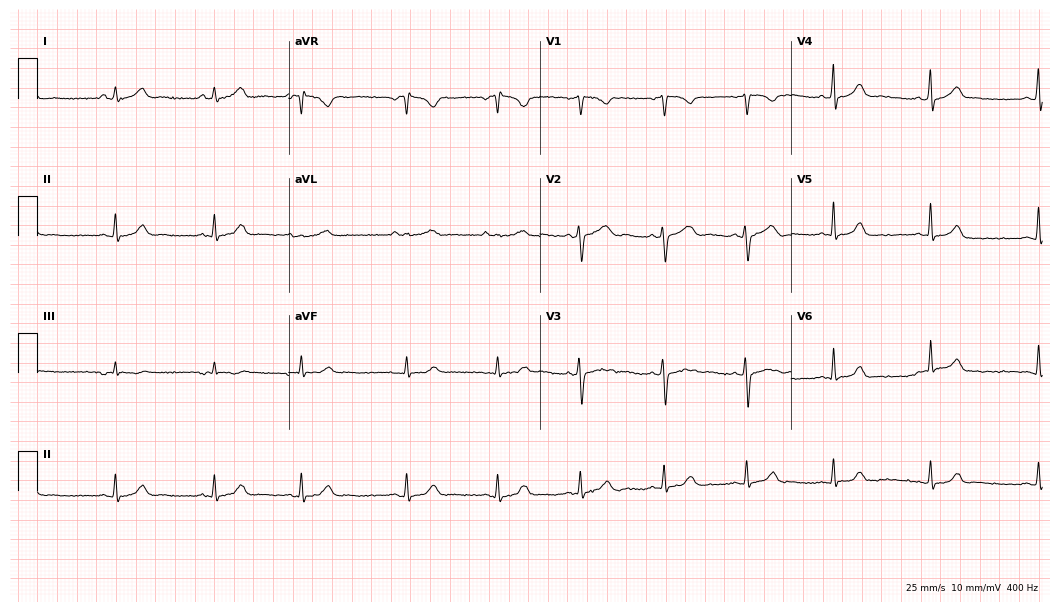
12-lead ECG from a 17-year-old female. Recorded interpretation: within normal limits.